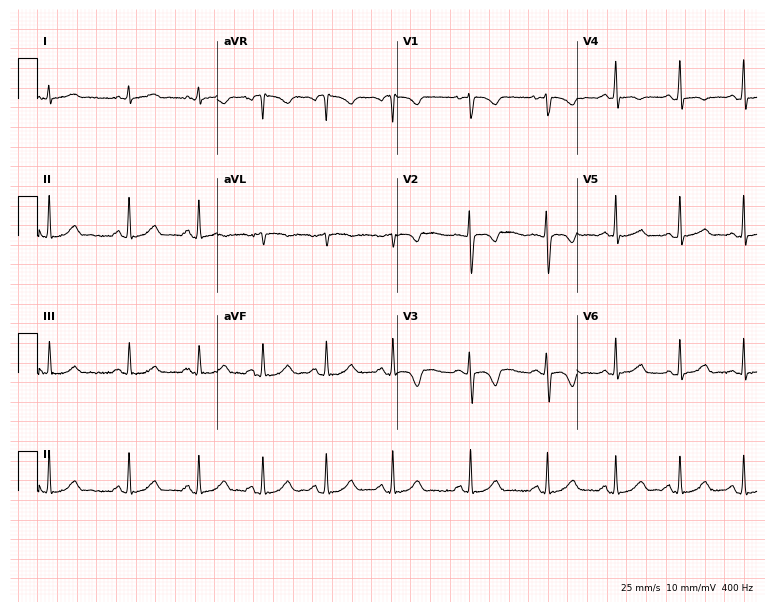
12-lead ECG from a 19-year-old female patient. Recorded interpretation: within normal limits.